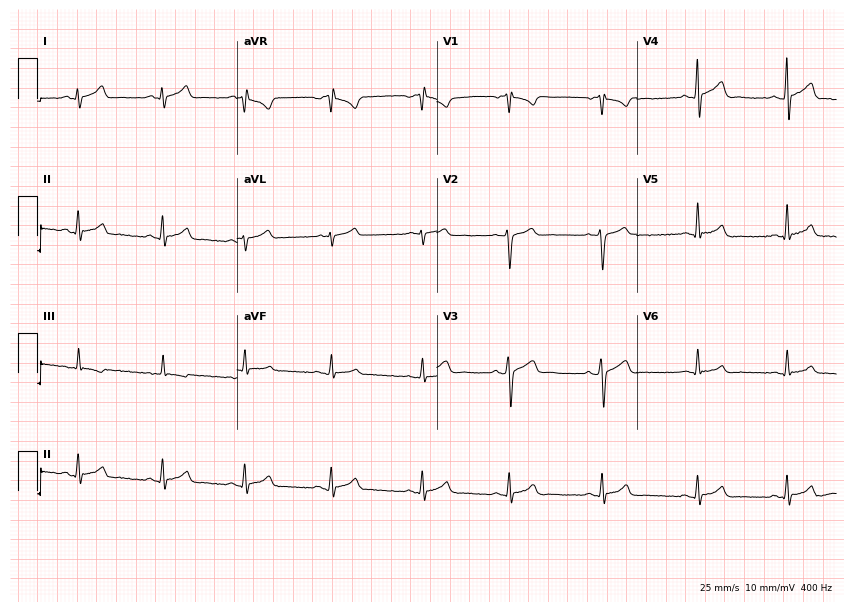
Electrocardiogram, a man, 21 years old. Overall reading on record: normal ECG.